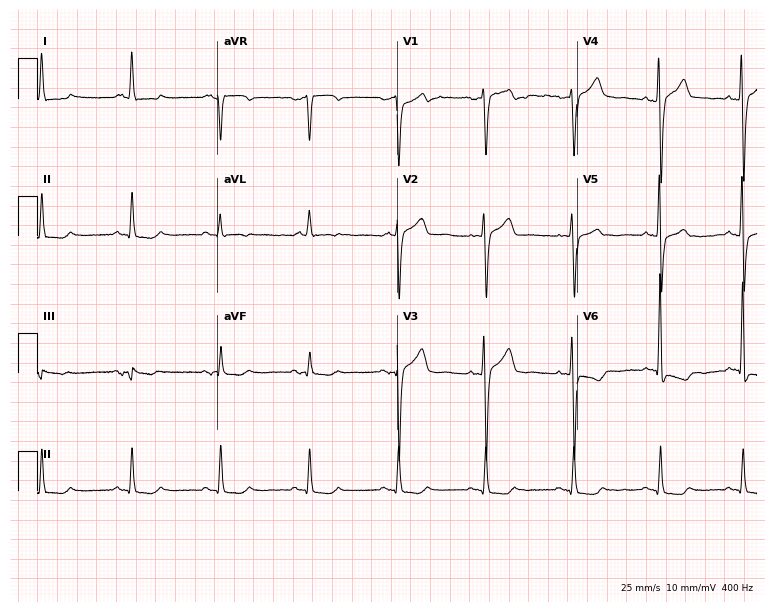
Resting 12-lead electrocardiogram. Patient: a 74-year-old male. None of these six findings is recorded: first-degree AV block, right bundle branch block, left bundle branch block, sinus bradycardia, atrial fibrillation, sinus tachycardia. Findings outside these six are not listed.